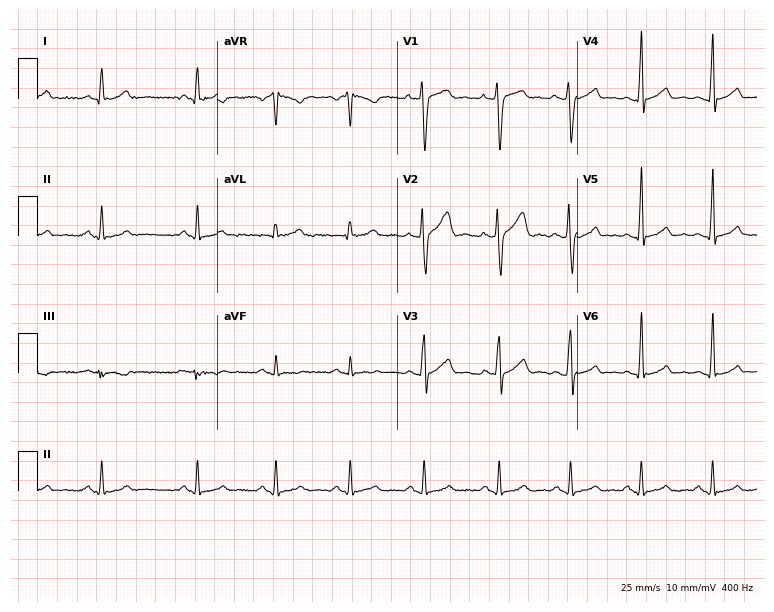
Standard 12-lead ECG recorded from a man, 33 years old (7.3-second recording at 400 Hz). Read as a normal ECG.